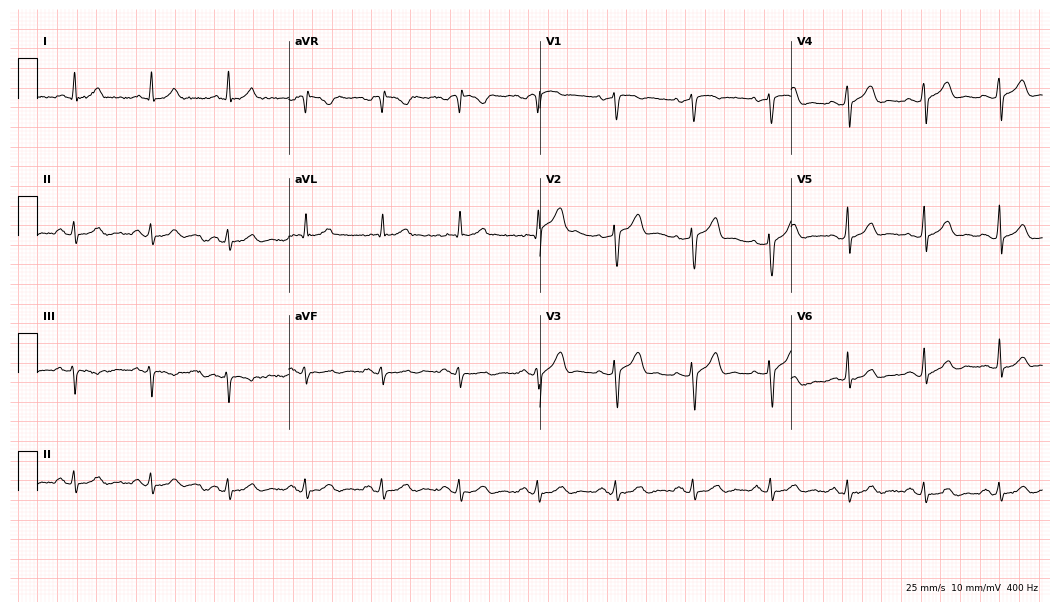
12-lead ECG from a 46-year-old male patient. Recorded interpretation: within normal limits.